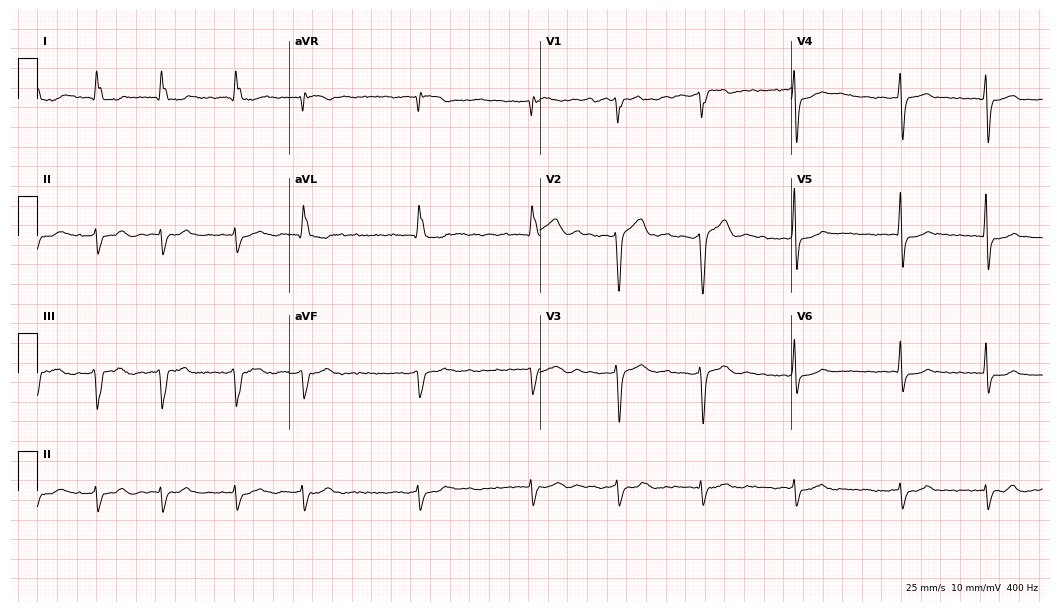
Electrocardiogram, a 78-year-old man. Interpretation includes atrial fibrillation (AF).